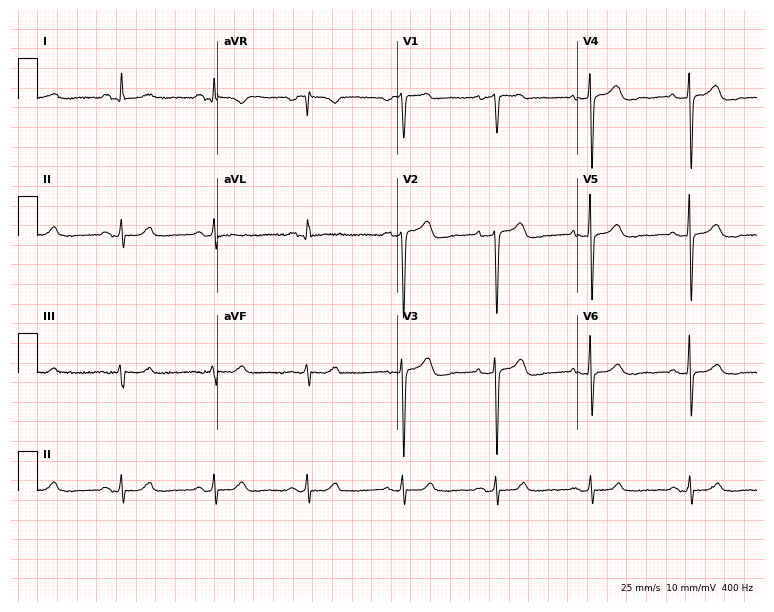
12-lead ECG from a female patient, 41 years old. No first-degree AV block, right bundle branch block, left bundle branch block, sinus bradycardia, atrial fibrillation or sinus tachycardia recorded for this tracing.